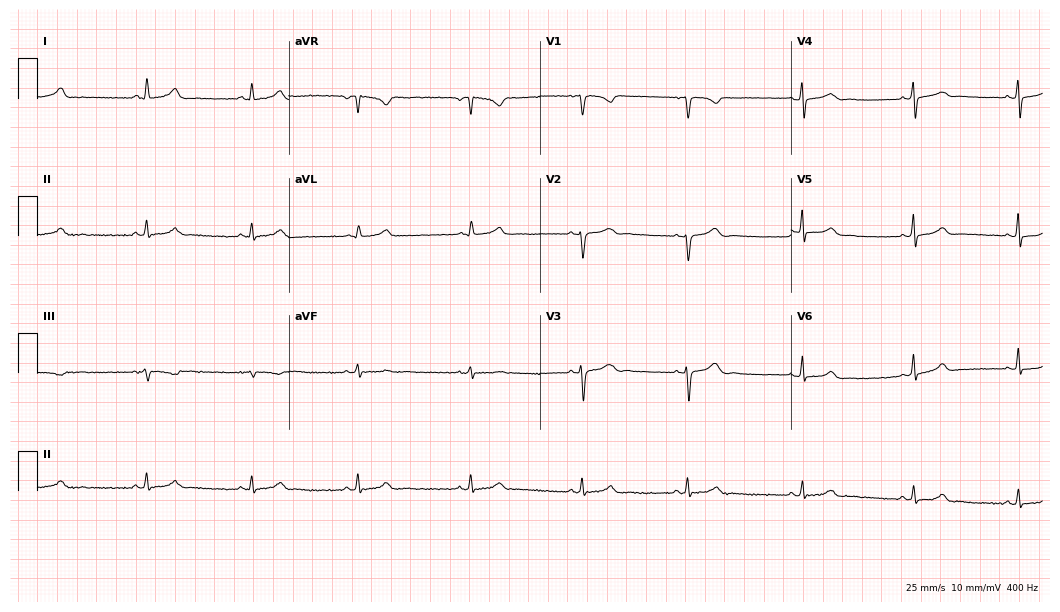
Resting 12-lead electrocardiogram (10.2-second recording at 400 Hz). Patient: a female, 20 years old. None of these six findings is recorded: first-degree AV block, right bundle branch block (RBBB), left bundle branch block (LBBB), sinus bradycardia, atrial fibrillation (AF), sinus tachycardia. Other findings, if any, are not listed.